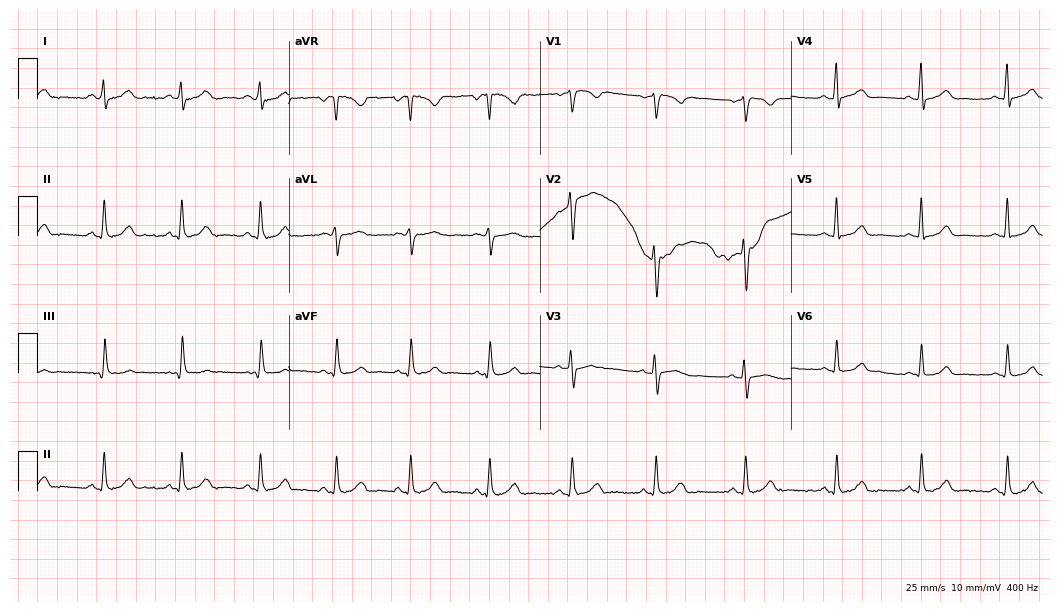
Standard 12-lead ECG recorded from a female patient, 31 years old. Read as a normal ECG.